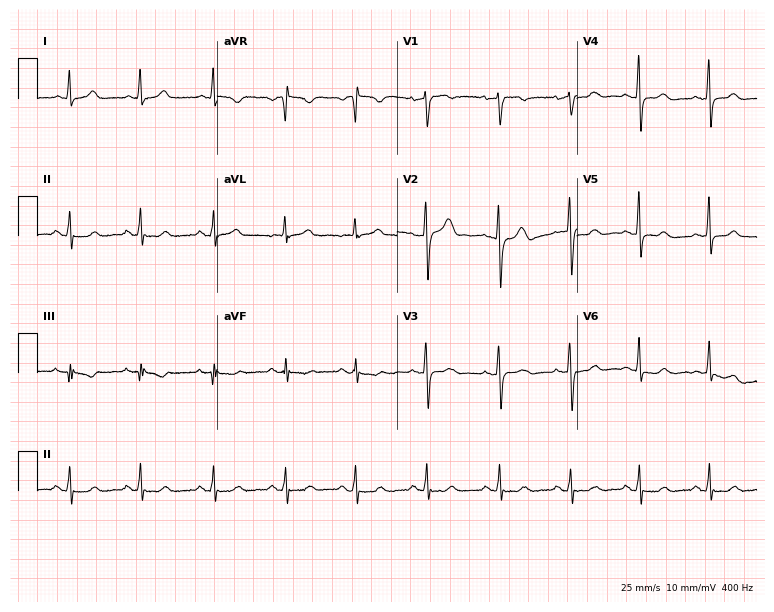
Electrocardiogram, a 55-year-old female patient. Overall reading on record: normal ECG.